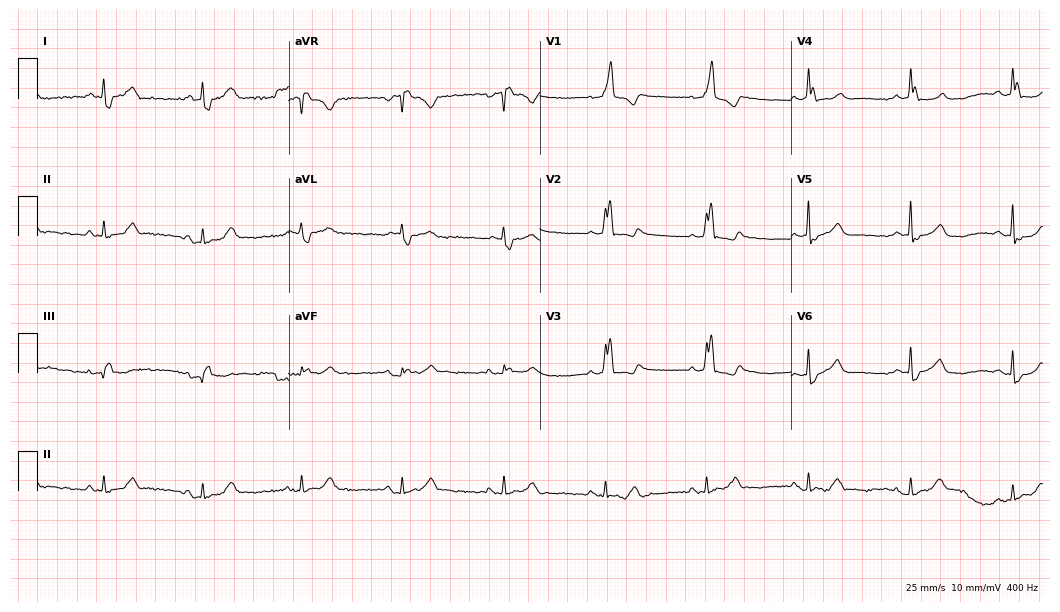
ECG — a male, 73 years old. Findings include right bundle branch block (RBBB).